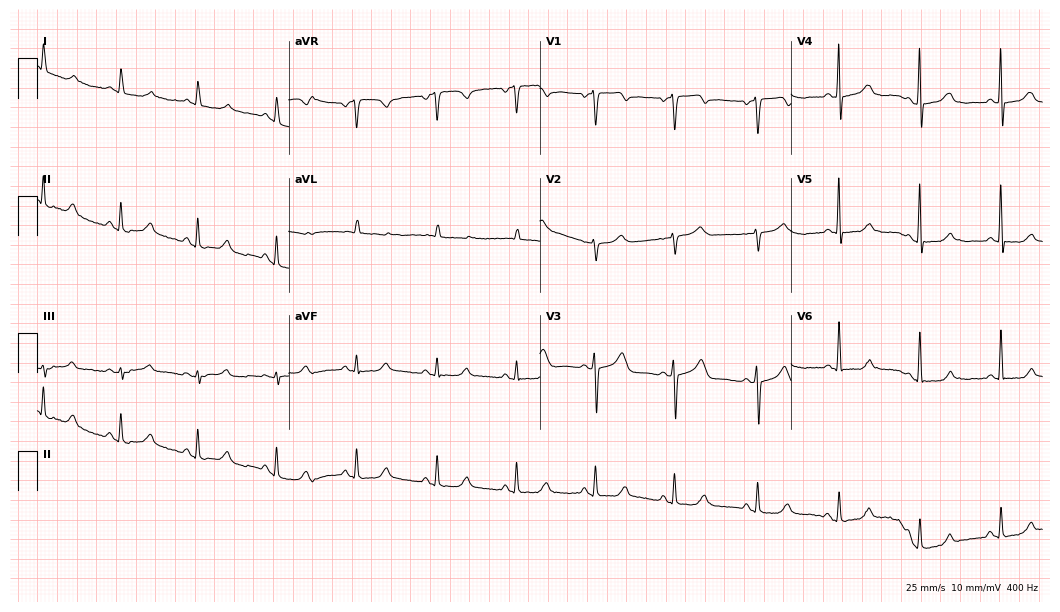
Standard 12-lead ECG recorded from a female, 57 years old (10.2-second recording at 400 Hz). Read as a normal ECG.